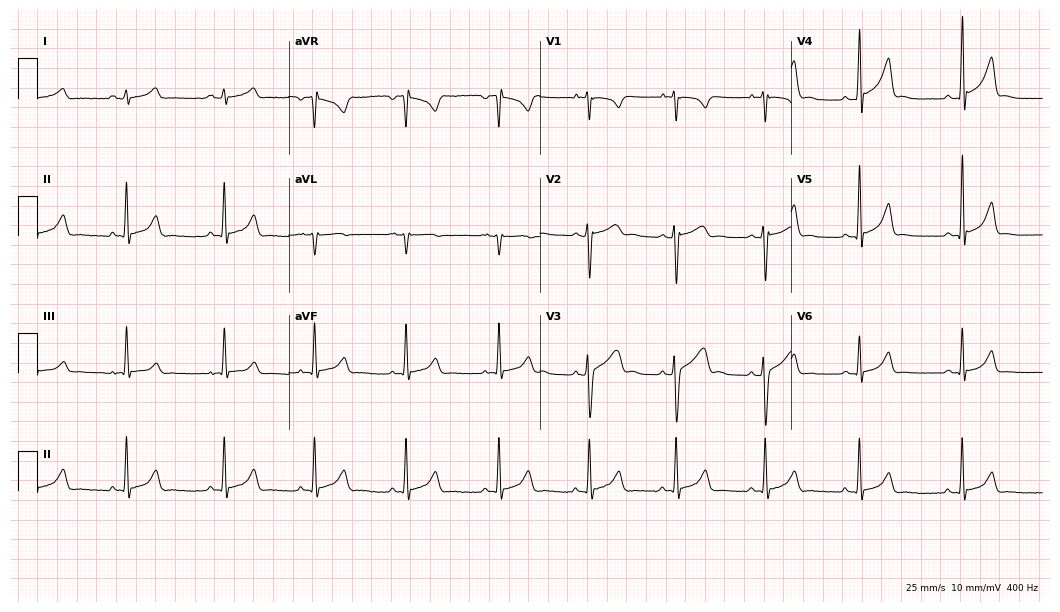
Standard 12-lead ECG recorded from a 55-year-old man. Read as a normal ECG.